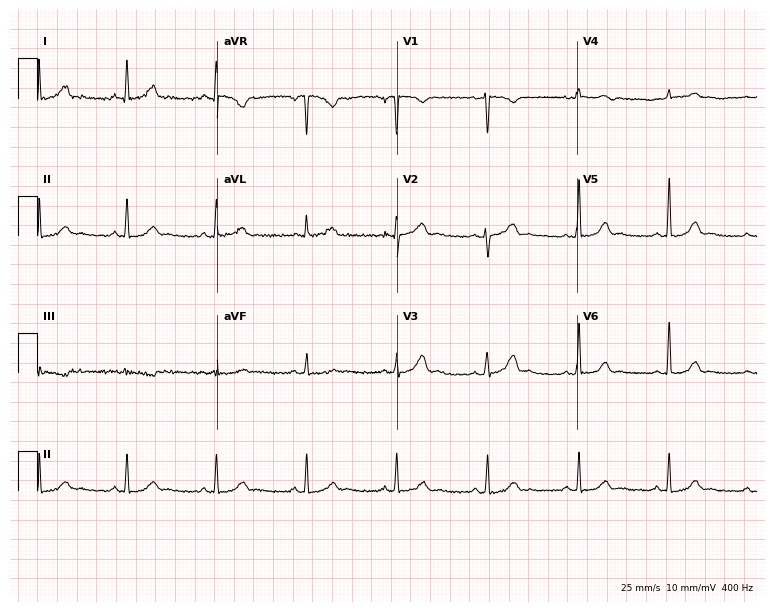
Standard 12-lead ECG recorded from a 51-year-old woman (7.3-second recording at 400 Hz). None of these six findings is recorded: first-degree AV block, right bundle branch block (RBBB), left bundle branch block (LBBB), sinus bradycardia, atrial fibrillation (AF), sinus tachycardia. Only these six findings were labelled.